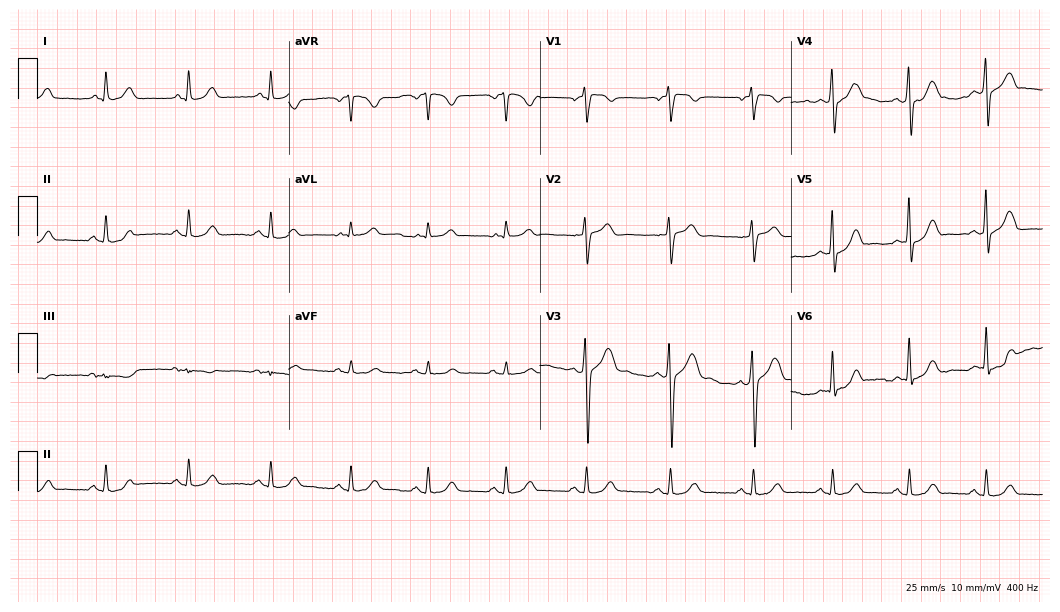
Resting 12-lead electrocardiogram (10.2-second recording at 400 Hz). Patient: a 38-year-old male. Read as a normal ECG.